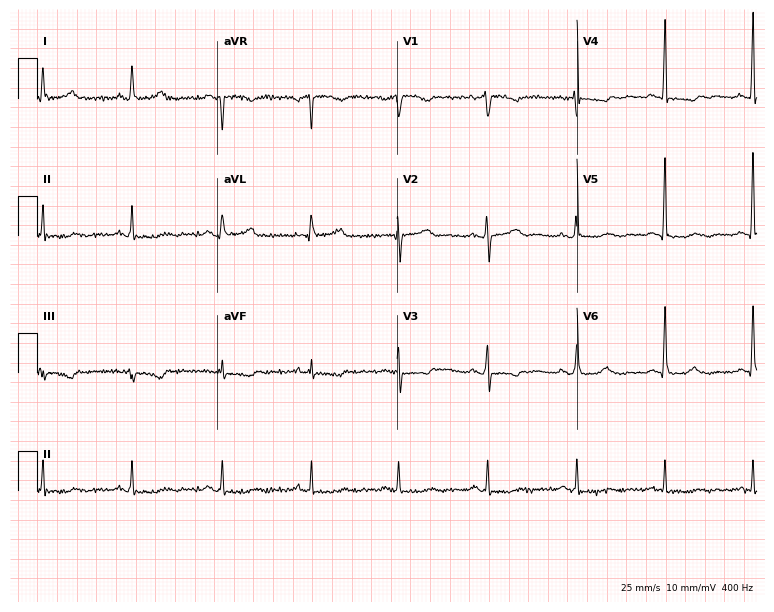
12-lead ECG from a woman, 75 years old. No first-degree AV block, right bundle branch block (RBBB), left bundle branch block (LBBB), sinus bradycardia, atrial fibrillation (AF) or sinus tachycardia recorded for this tracing.